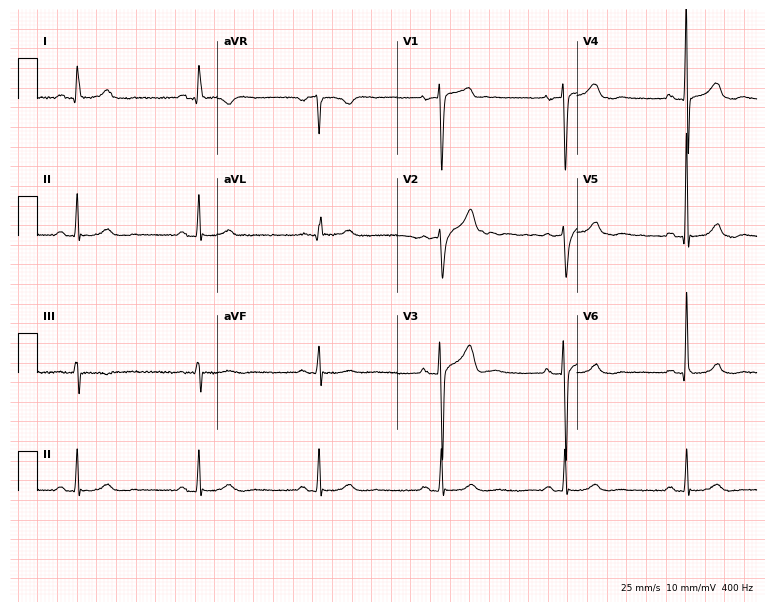
Electrocardiogram (7.3-second recording at 400 Hz), a 48-year-old man. Interpretation includes sinus bradycardia (a sinus rate of 50 beats per minute or less).